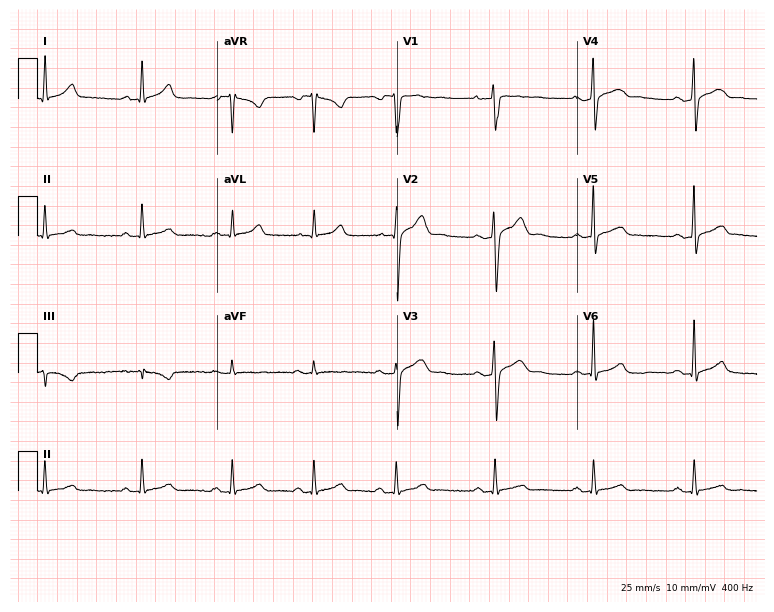
Standard 12-lead ECG recorded from a 34-year-old man (7.3-second recording at 400 Hz). Read as a normal ECG.